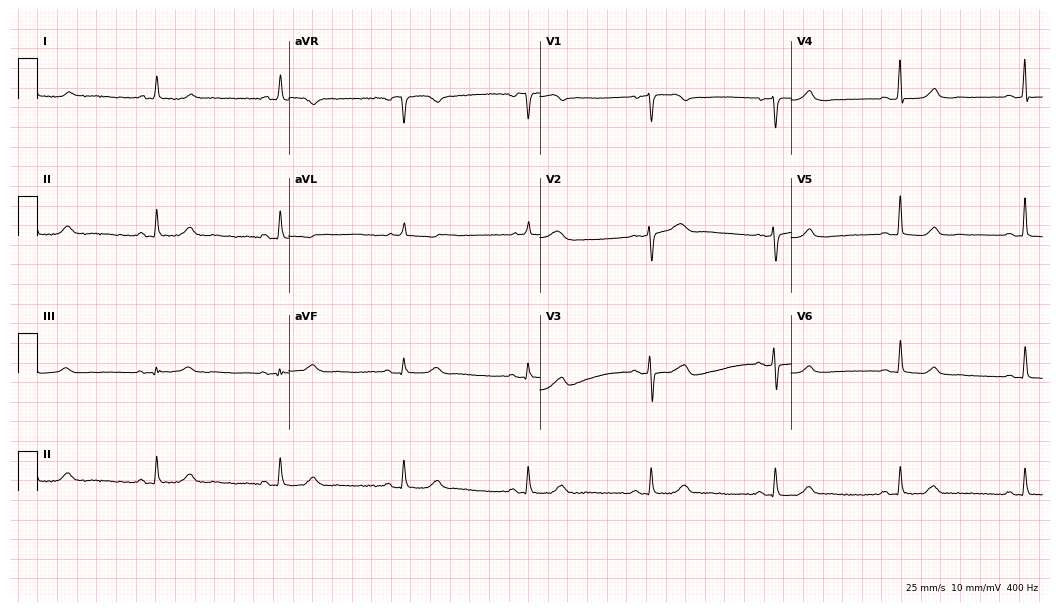
12-lead ECG (10.2-second recording at 400 Hz) from a female patient, 81 years old. Screened for six findings — first-degree AV block, right bundle branch block (RBBB), left bundle branch block (LBBB), sinus bradycardia, atrial fibrillation (AF), sinus tachycardia — none is recorded.